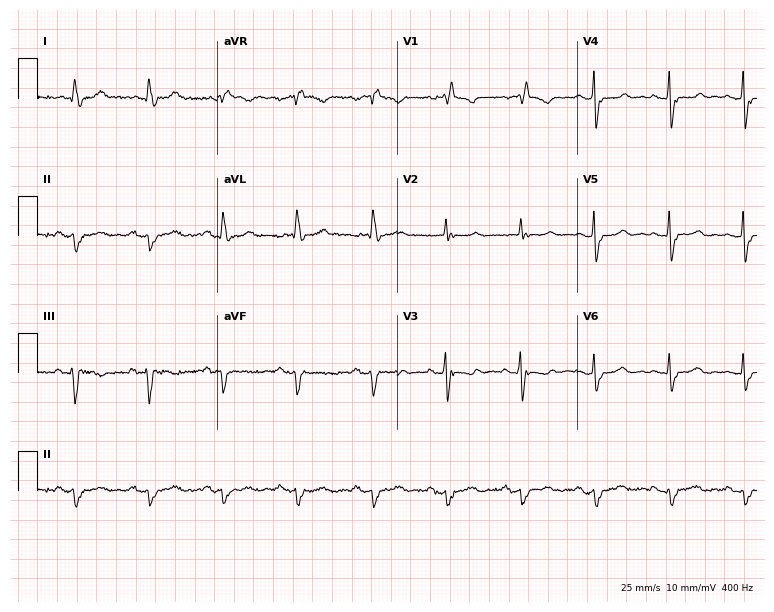
Resting 12-lead electrocardiogram. Patient: a female, 82 years old. The tracing shows right bundle branch block (RBBB).